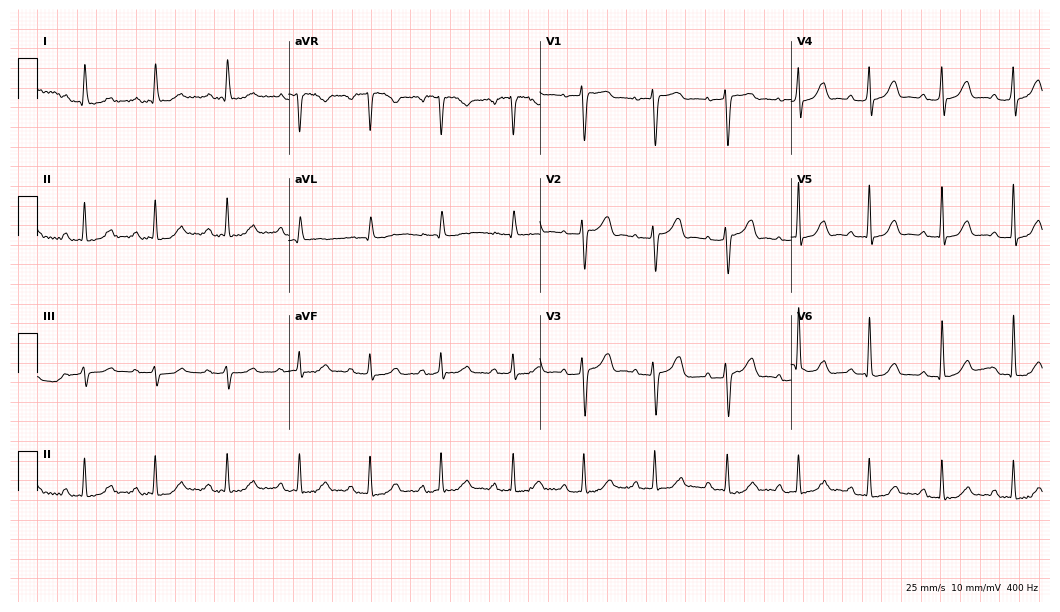
Resting 12-lead electrocardiogram. Patient: a 67-year-old woman. Read as a normal ECG.